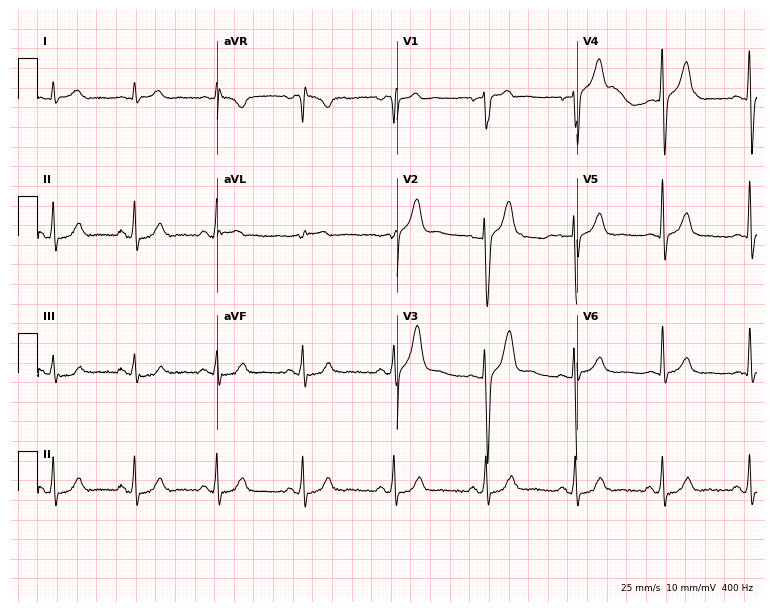
12-lead ECG (7.3-second recording at 400 Hz) from a 53-year-old male patient. Labelled as a normal ECG.